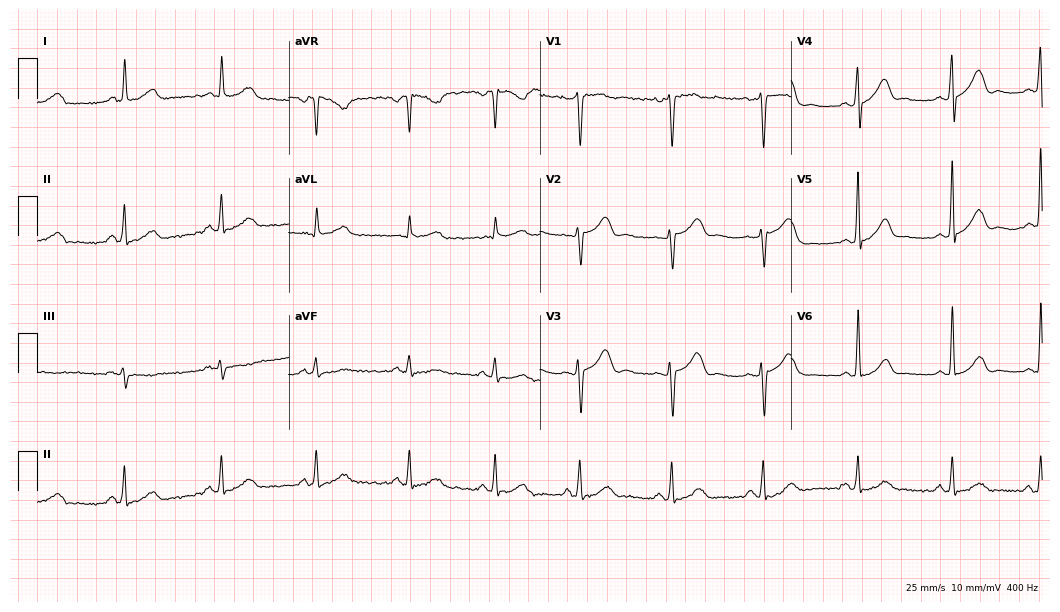
Resting 12-lead electrocardiogram (10.2-second recording at 400 Hz). Patient: a 52-year-old female. Read as a normal ECG.